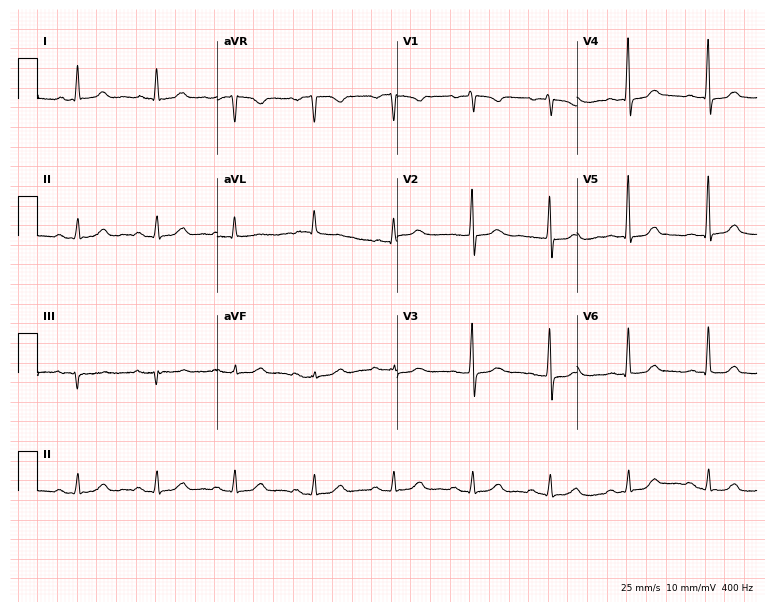
Electrocardiogram (7.3-second recording at 400 Hz), a woman, 60 years old. Overall reading on record: normal ECG.